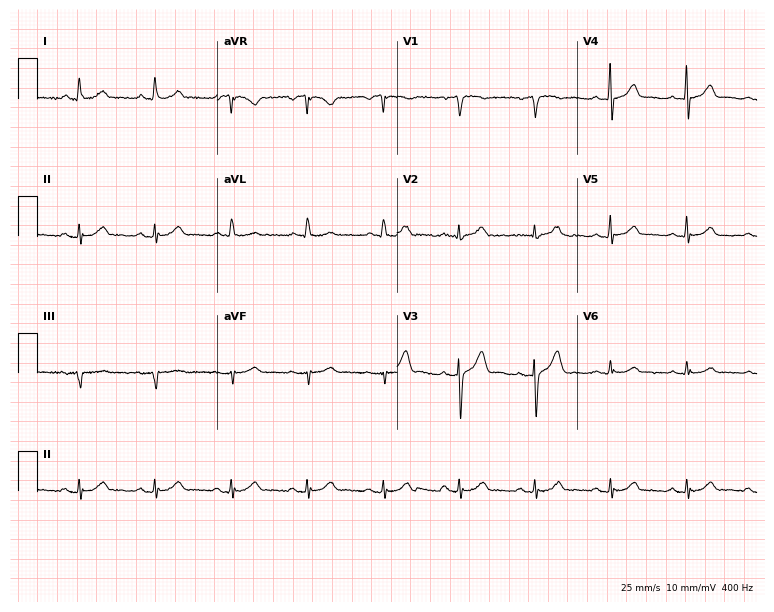
12-lead ECG from a man, 61 years old. Screened for six findings — first-degree AV block, right bundle branch block (RBBB), left bundle branch block (LBBB), sinus bradycardia, atrial fibrillation (AF), sinus tachycardia — none is recorded. Findings outside these six are not listed.